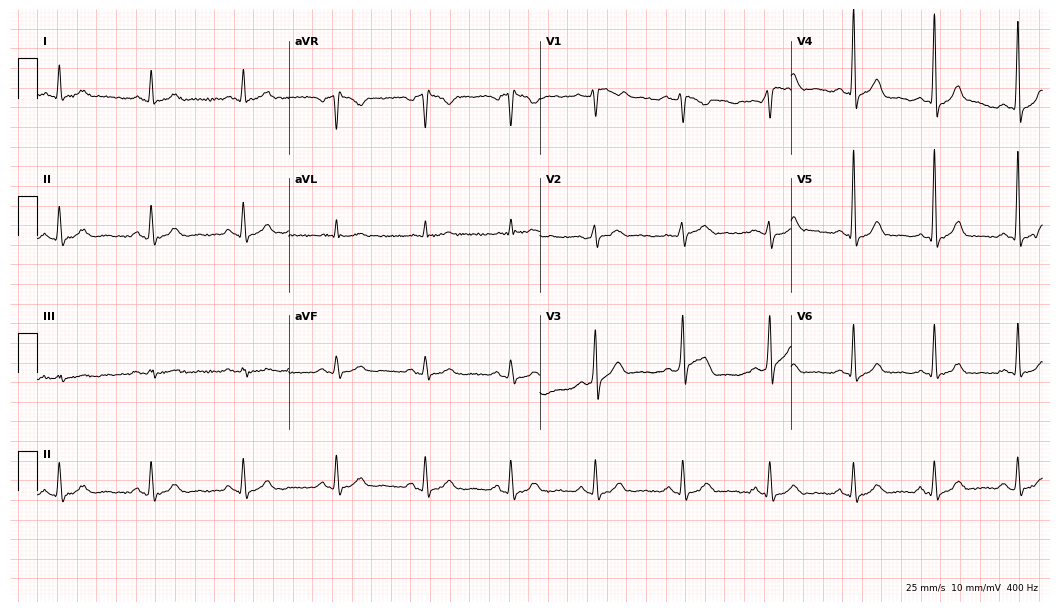
Standard 12-lead ECG recorded from a male patient, 53 years old (10.2-second recording at 400 Hz). None of these six findings is recorded: first-degree AV block, right bundle branch block, left bundle branch block, sinus bradycardia, atrial fibrillation, sinus tachycardia. Only these six findings were labelled.